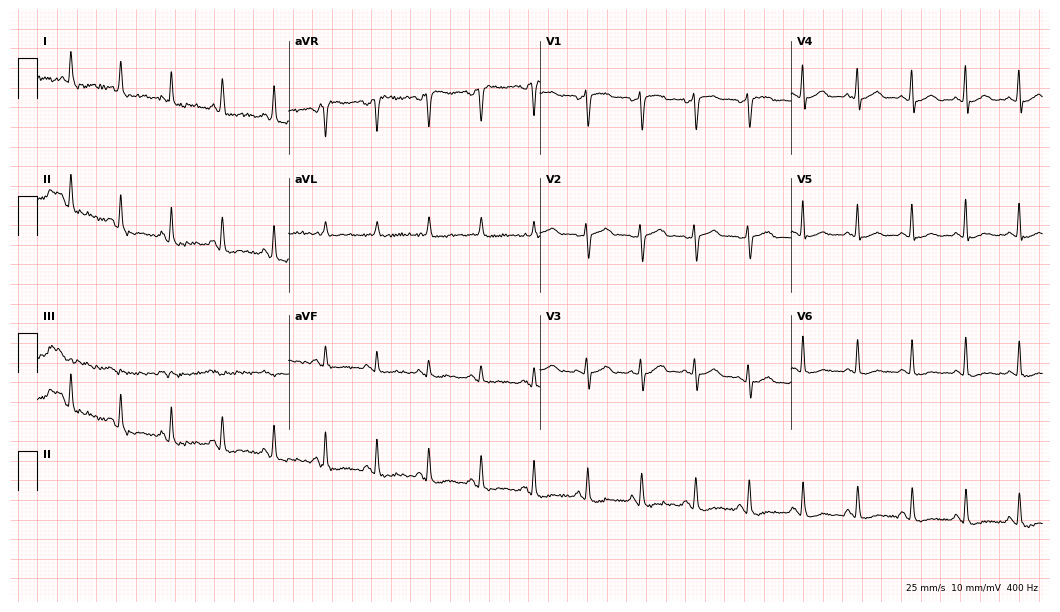
ECG — a female patient, 51 years old. Findings include sinus tachycardia (a sinus rate of 100 beats per minute or more).